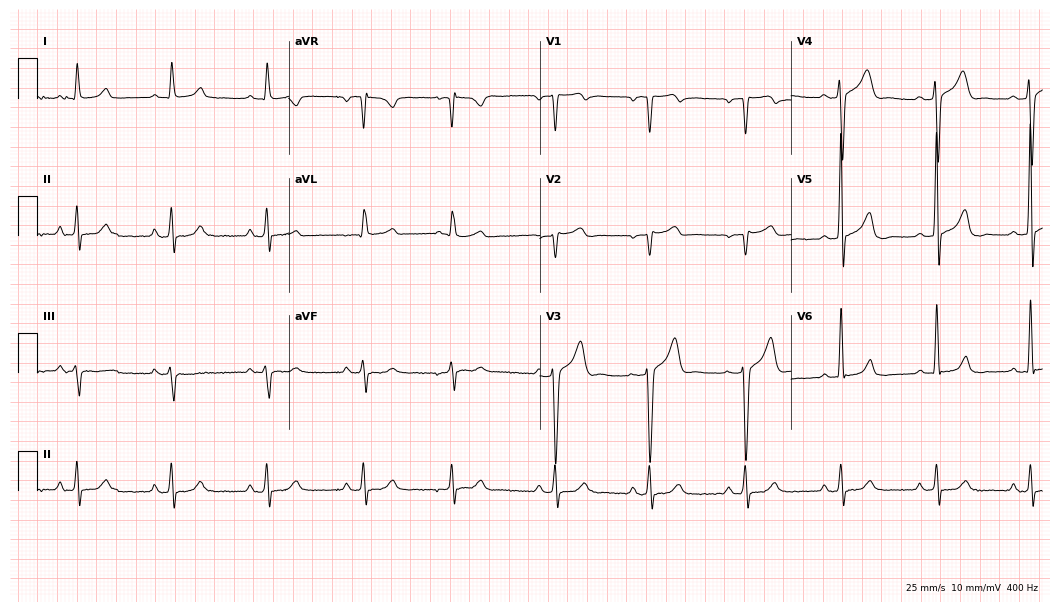
Electrocardiogram (10.2-second recording at 400 Hz), a 60-year-old male patient. Overall reading on record: normal ECG.